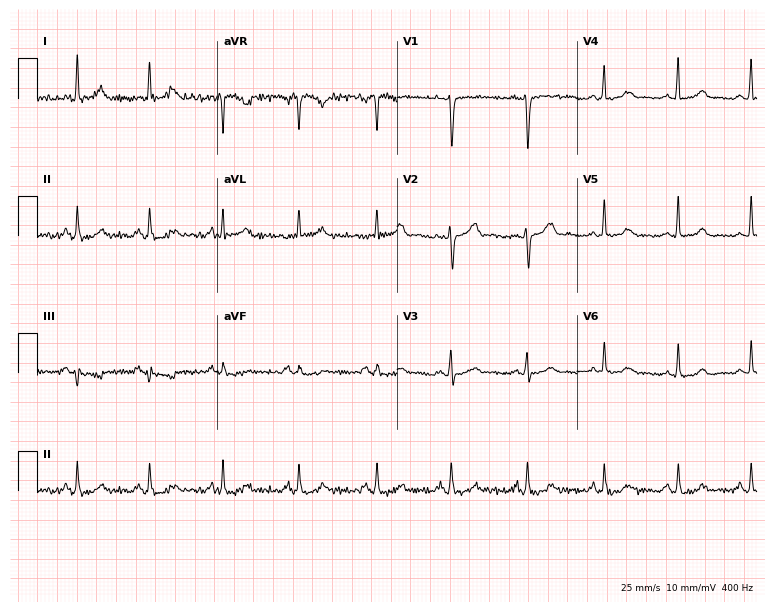
12-lead ECG (7.3-second recording at 400 Hz) from a 35-year-old woman. Labelled as a normal ECG.